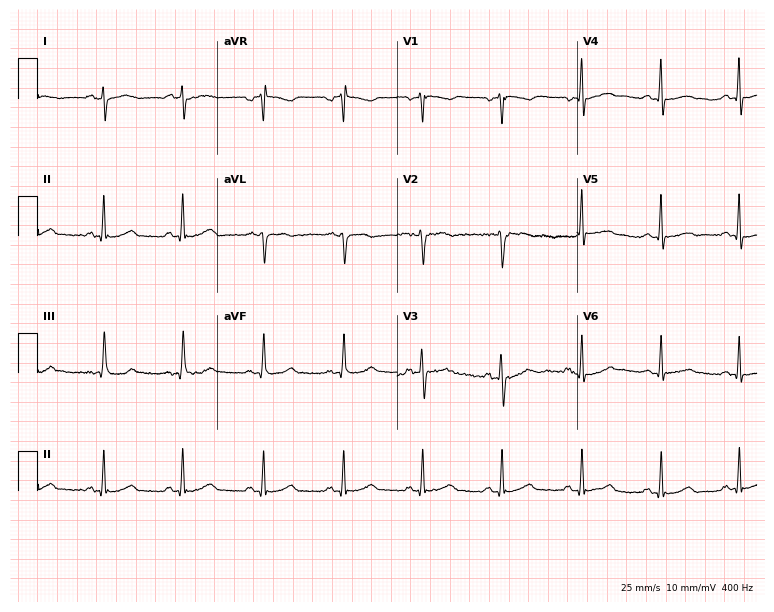
Resting 12-lead electrocardiogram (7.3-second recording at 400 Hz). Patient: a man, 36 years old. None of these six findings is recorded: first-degree AV block, right bundle branch block (RBBB), left bundle branch block (LBBB), sinus bradycardia, atrial fibrillation (AF), sinus tachycardia.